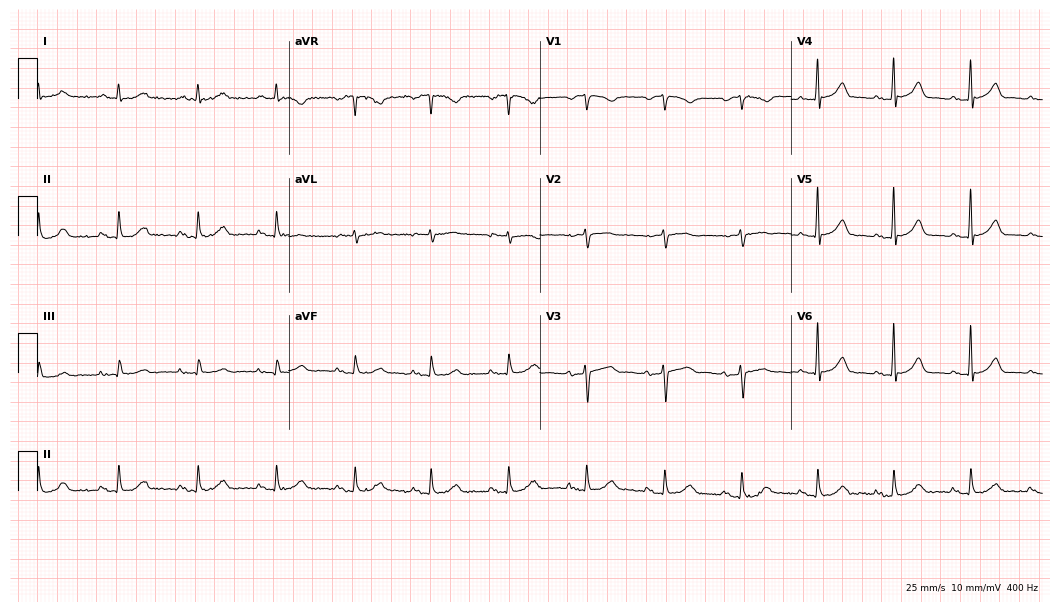
12-lead ECG from a woman, 70 years old (10.2-second recording at 400 Hz). No first-degree AV block, right bundle branch block, left bundle branch block, sinus bradycardia, atrial fibrillation or sinus tachycardia recorded for this tracing.